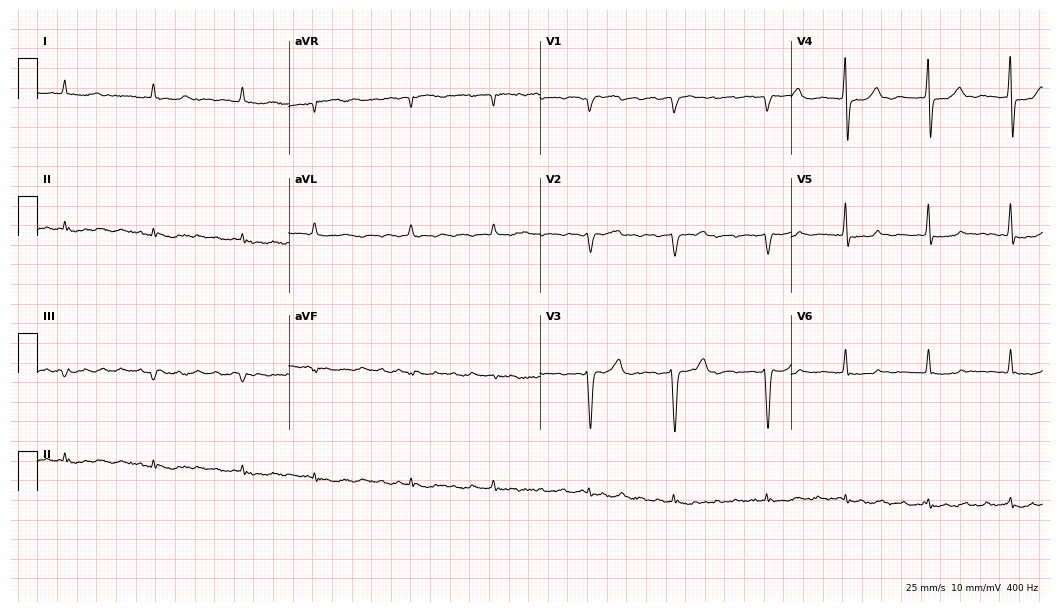
12-lead ECG (10.2-second recording at 400 Hz) from an 82-year-old female patient. Findings include atrial fibrillation.